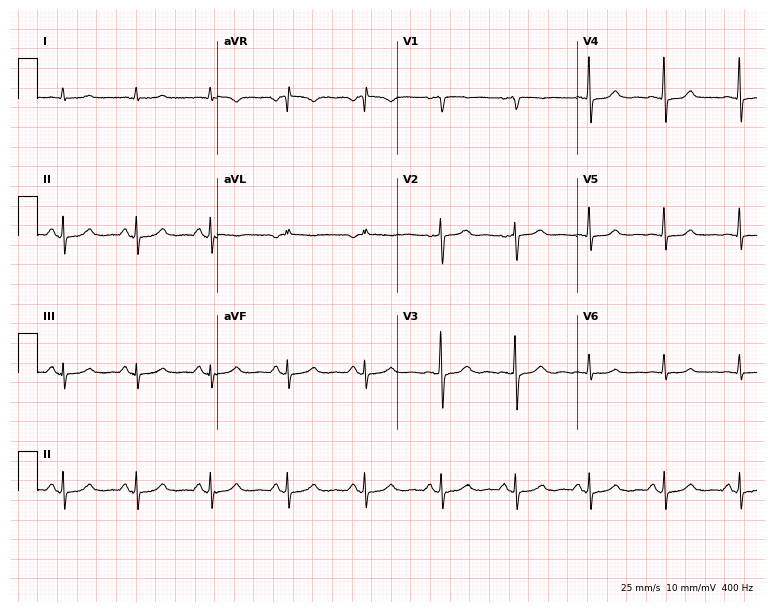
12-lead ECG from a woman, 65 years old (7.3-second recording at 400 Hz). Recorded interpretation: within normal limits.